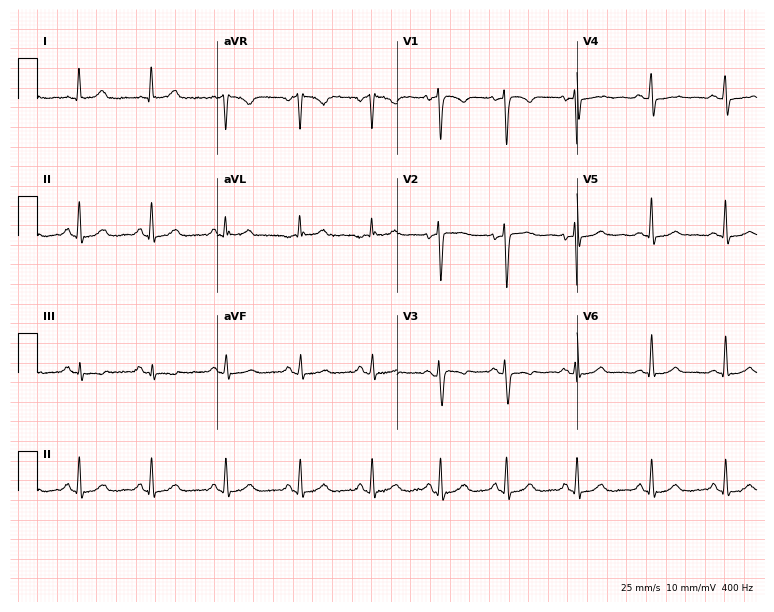
Electrocardiogram, a 40-year-old female. Overall reading on record: normal ECG.